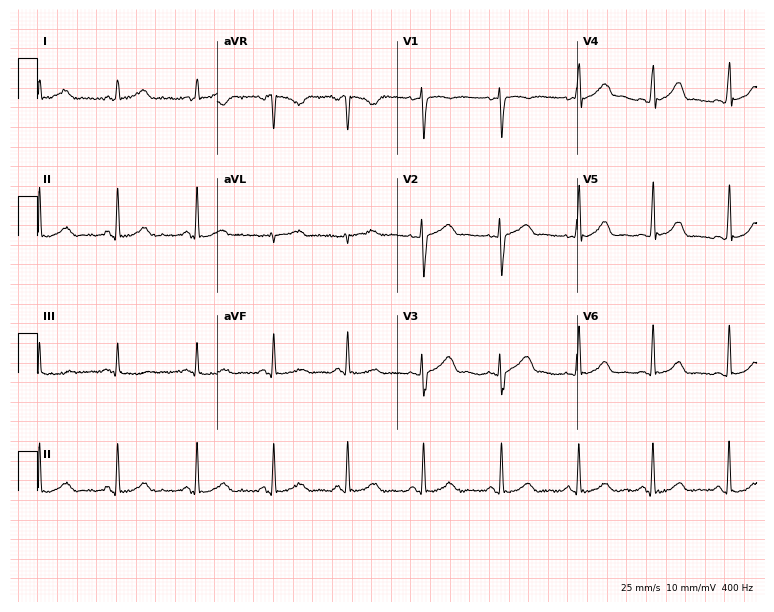
Standard 12-lead ECG recorded from a 29-year-old woman. Read as a normal ECG.